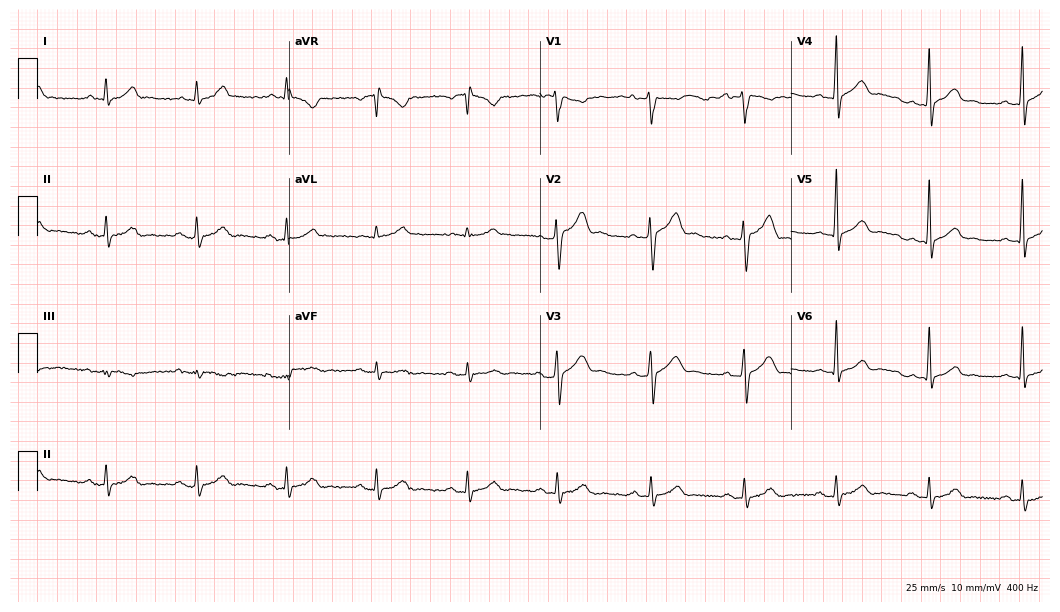
12-lead ECG from a 42-year-old male patient (10.2-second recording at 400 Hz). Recorded interpretation: within normal limits.